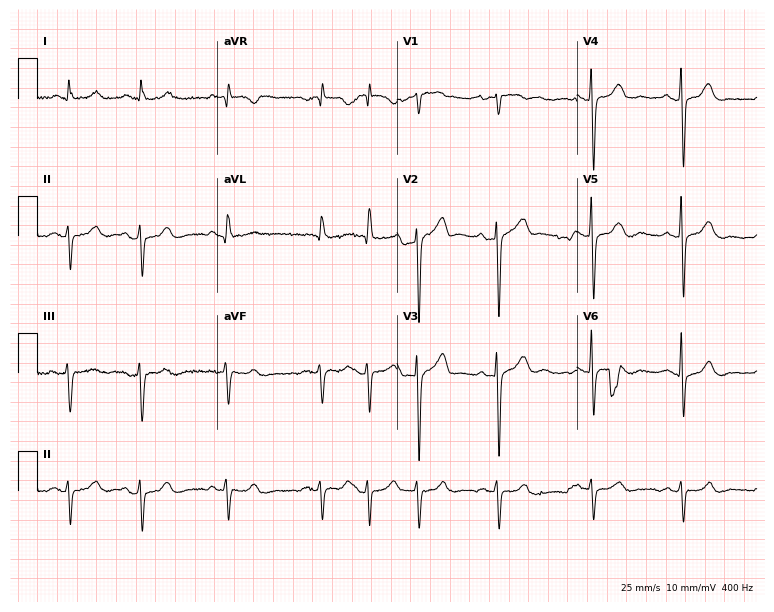
Standard 12-lead ECG recorded from a man, 80 years old (7.3-second recording at 400 Hz). None of these six findings is recorded: first-degree AV block, right bundle branch block, left bundle branch block, sinus bradycardia, atrial fibrillation, sinus tachycardia. Findings outside these six are not listed.